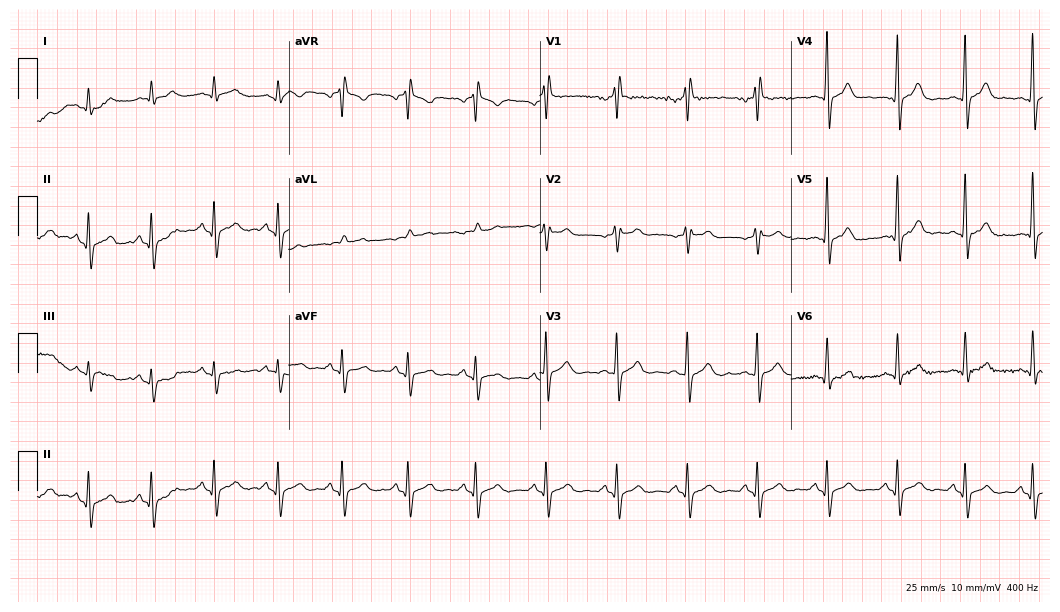
Electrocardiogram (10.2-second recording at 400 Hz), a 32-year-old male. Of the six screened findings (first-degree AV block, right bundle branch block (RBBB), left bundle branch block (LBBB), sinus bradycardia, atrial fibrillation (AF), sinus tachycardia), none is recorded.